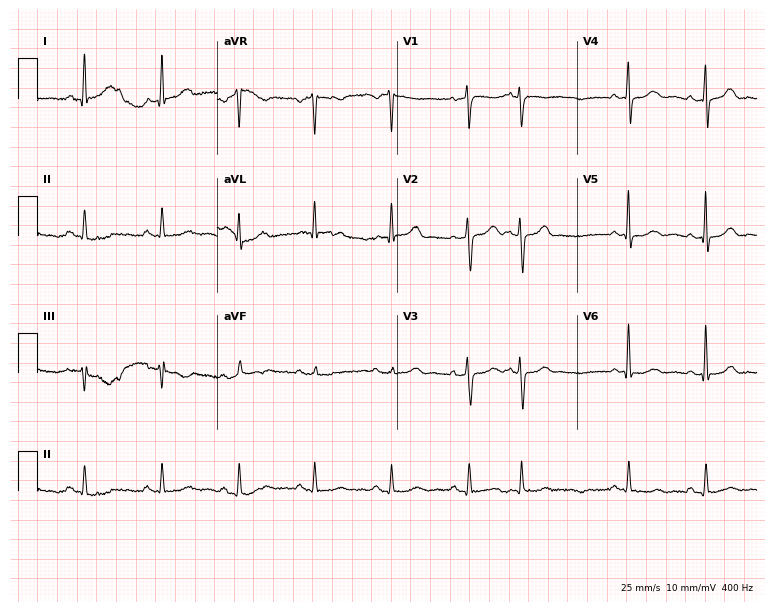
12-lead ECG (7.3-second recording at 400 Hz) from a 78-year-old female patient. Screened for six findings — first-degree AV block, right bundle branch block (RBBB), left bundle branch block (LBBB), sinus bradycardia, atrial fibrillation (AF), sinus tachycardia — none is recorded. Findings outside these six are not listed.